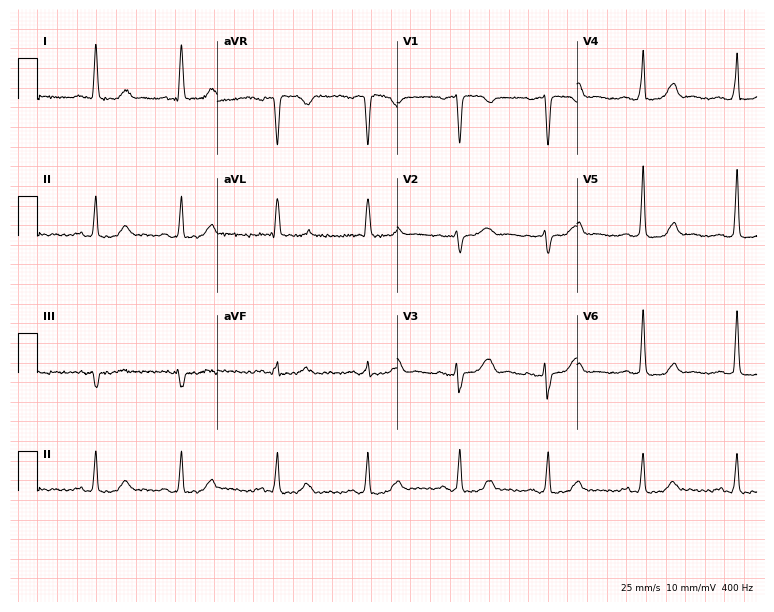
12-lead ECG from a 77-year-old female. Recorded interpretation: within normal limits.